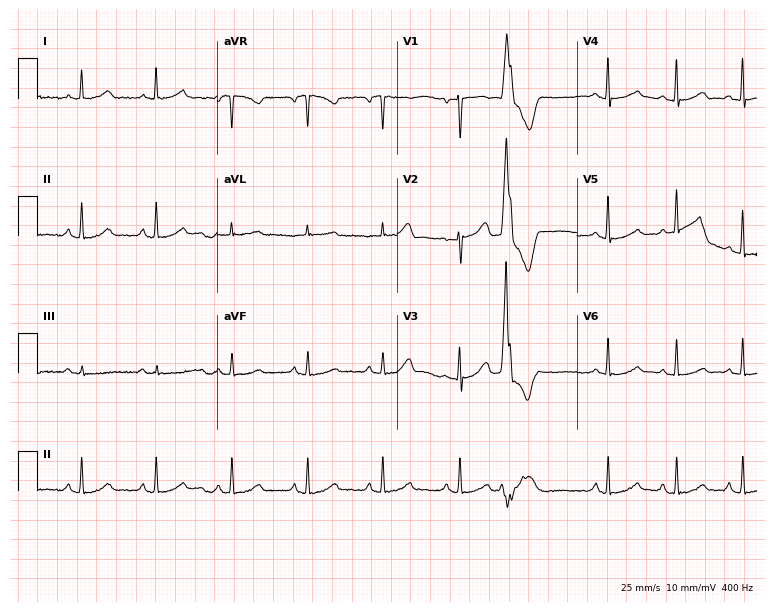
12-lead ECG from a 54-year-old woman. Recorded interpretation: within normal limits.